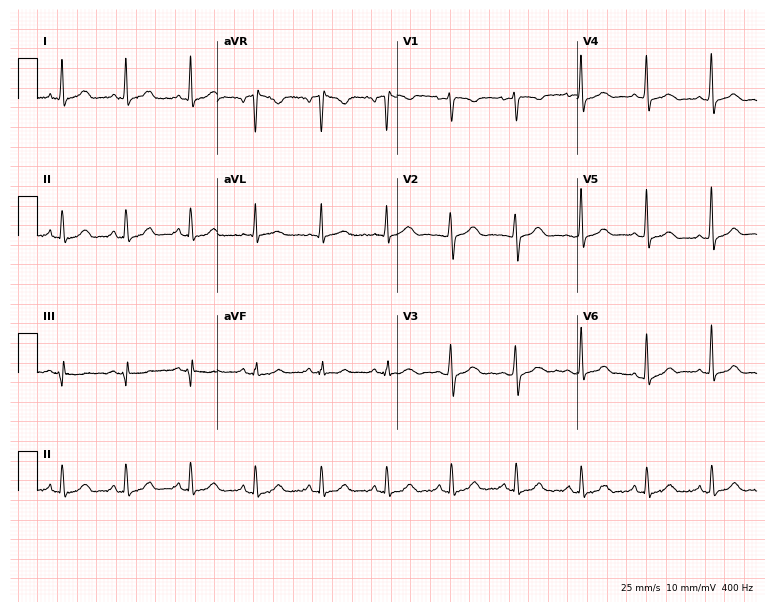
12-lead ECG (7.3-second recording at 400 Hz) from a female, 42 years old. Screened for six findings — first-degree AV block, right bundle branch block (RBBB), left bundle branch block (LBBB), sinus bradycardia, atrial fibrillation (AF), sinus tachycardia — none is recorded.